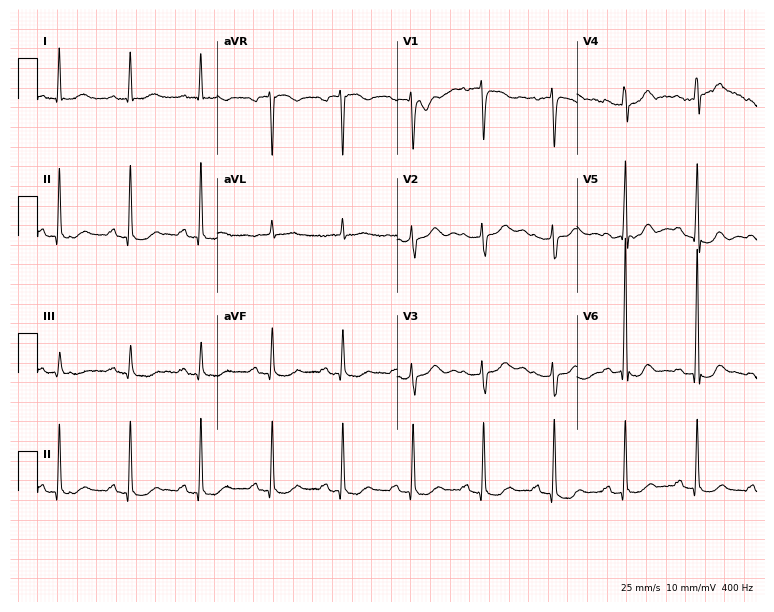
Resting 12-lead electrocardiogram (7.3-second recording at 400 Hz). Patient: a 75-year-old female. None of these six findings is recorded: first-degree AV block, right bundle branch block, left bundle branch block, sinus bradycardia, atrial fibrillation, sinus tachycardia.